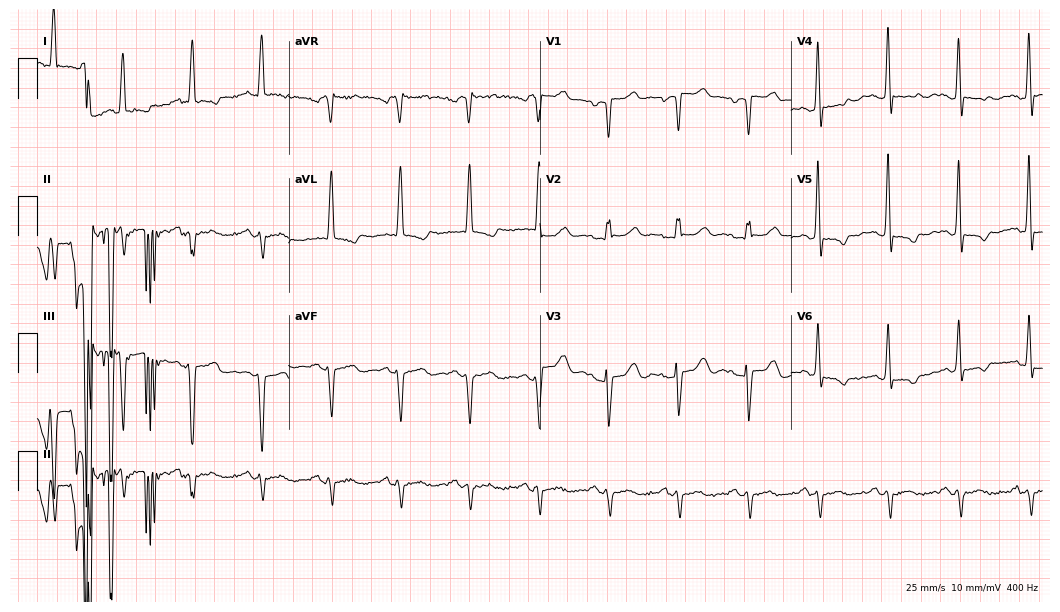
Standard 12-lead ECG recorded from a man, 60 years old (10.2-second recording at 400 Hz). None of these six findings is recorded: first-degree AV block, right bundle branch block, left bundle branch block, sinus bradycardia, atrial fibrillation, sinus tachycardia. Only these six findings were labelled.